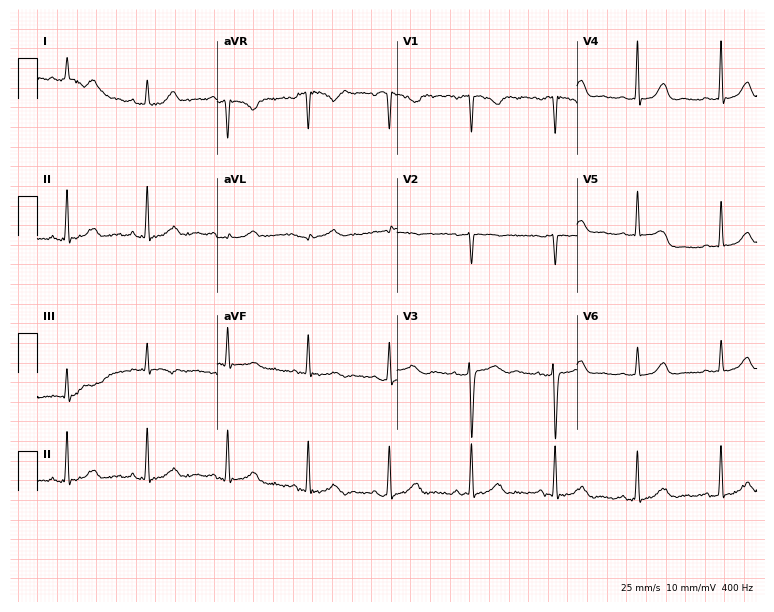
Resting 12-lead electrocardiogram. Patient: a female, 43 years old. None of these six findings is recorded: first-degree AV block, right bundle branch block, left bundle branch block, sinus bradycardia, atrial fibrillation, sinus tachycardia. Findings outside these six are not listed.